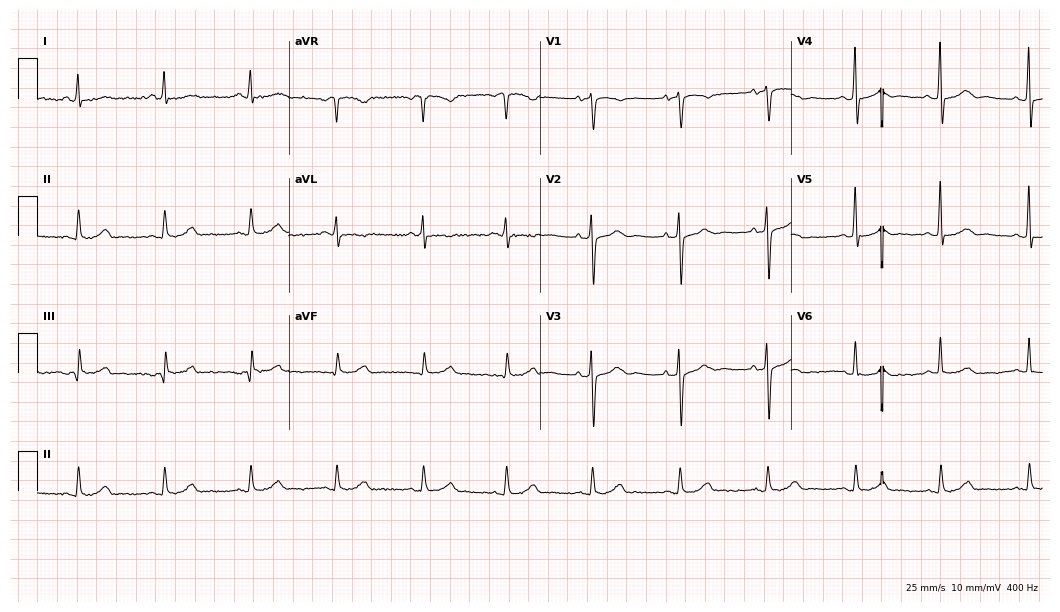
Electrocardiogram, a 58-year-old woman. Of the six screened findings (first-degree AV block, right bundle branch block (RBBB), left bundle branch block (LBBB), sinus bradycardia, atrial fibrillation (AF), sinus tachycardia), none is recorded. Findings outside these six are not listed.